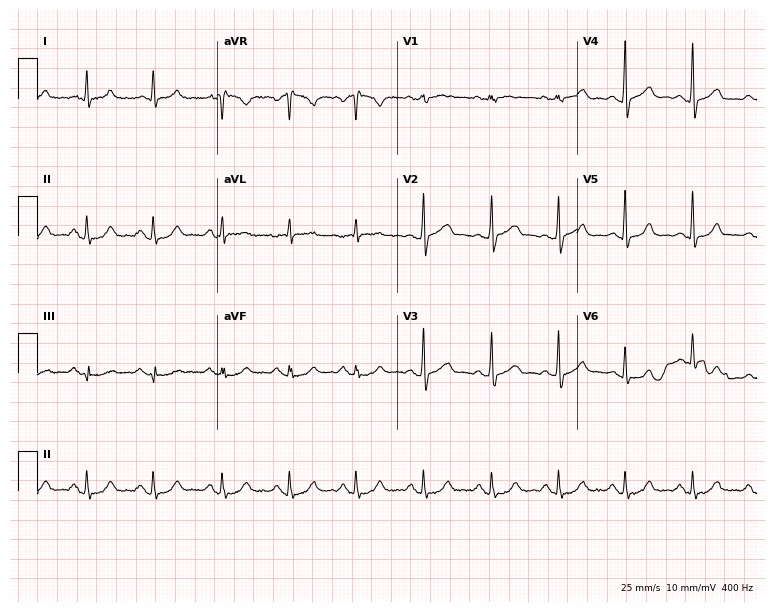
Electrocardiogram (7.3-second recording at 400 Hz), a male, 77 years old. Overall reading on record: normal ECG.